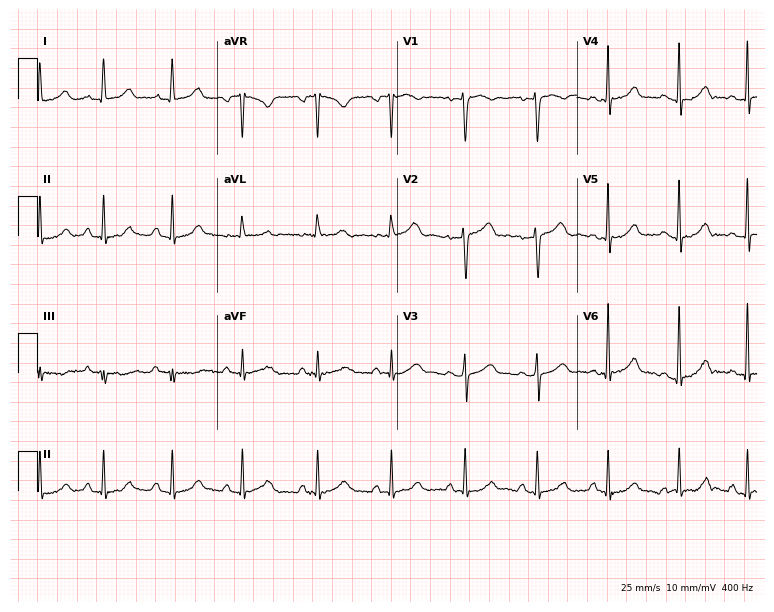
Electrocardiogram, a 25-year-old female. Overall reading on record: normal ECG.